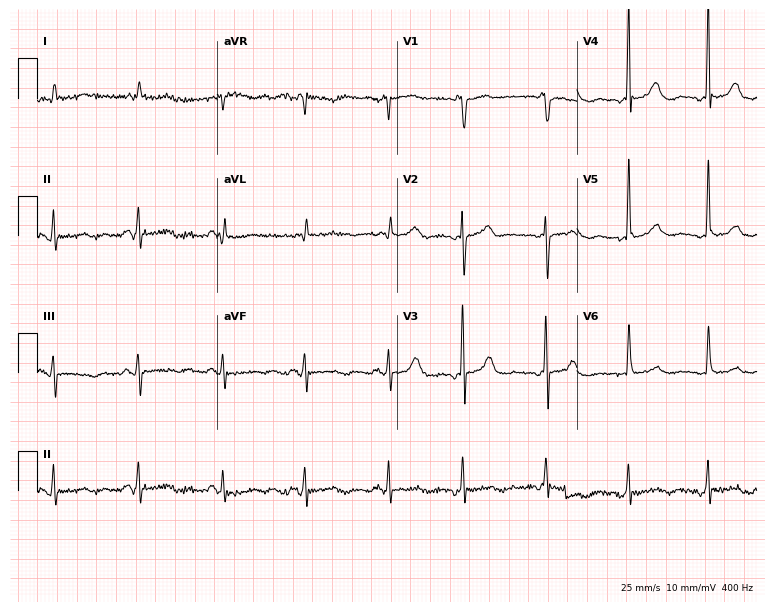
Resting 12-lead electrocardiogram. Patient: a female, 69 years old. None of these six findings is recorded: first-degree AV block, right bundle branch block, left bundle branch block, sinus bradycardia, atrial fibrillation, sinus tachycardia. Only these six findings were labelled.